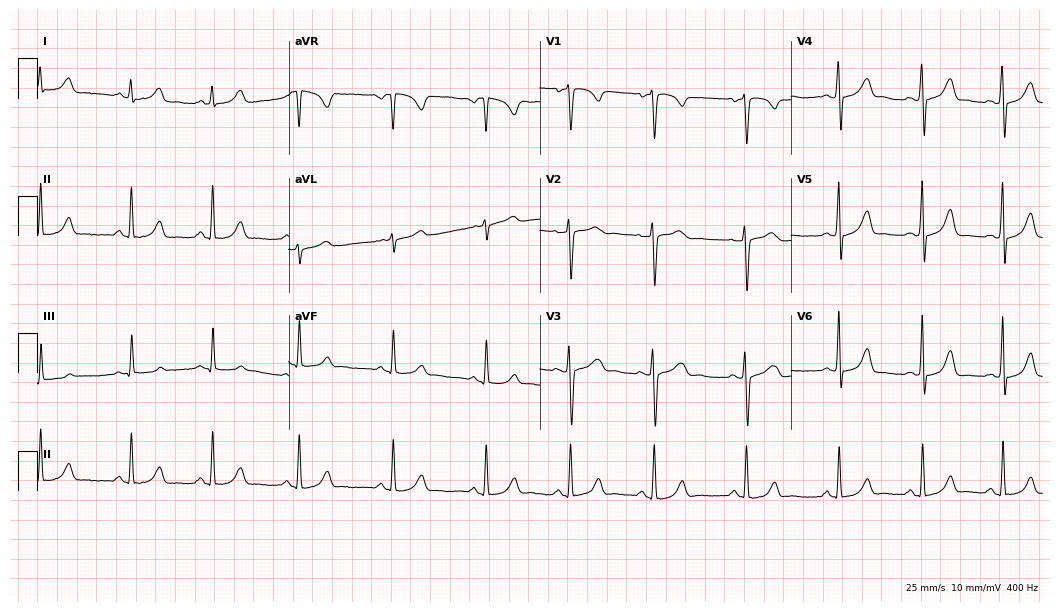
Electrocardiogram (10.2-second recording at 400 Hz), a female, 32 years old. Overall reading on record: normal ECG.